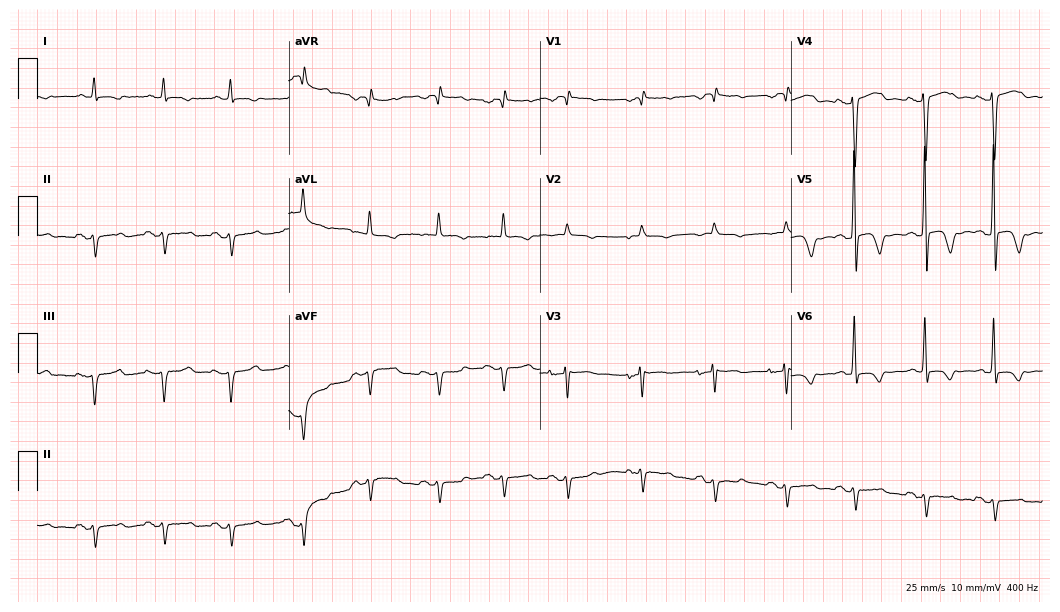
Resting 12-lead electrocardiogram (10.2-second recording at 400 Hz). Patient: an 80-year-old female. None of these six findings is recorded: first-degree AV block, right bundle branch block, left bundle branch block, sinus bradycardia, atrial fibrillation, sinus tachycardia. Findings outside these six are not listed.